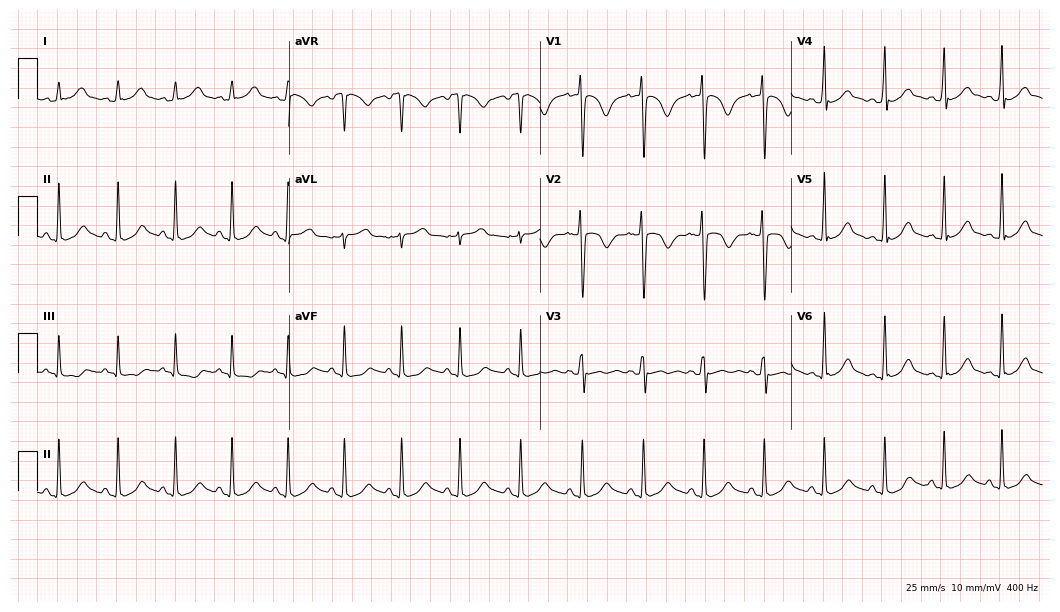
ECG (10.2-second recording at 400 Hz) — a female, 21 years old. Labelled as a normal ECG.